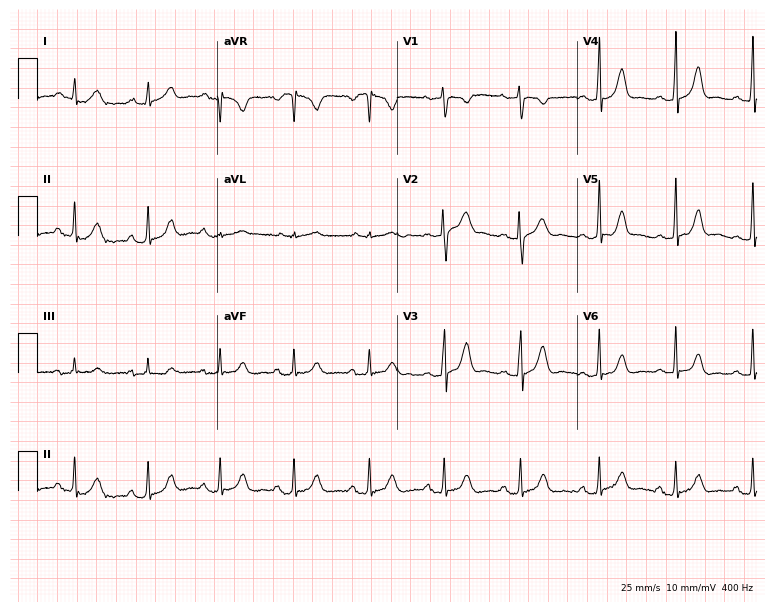
Electrocardiogram, a 21-year-old woman. Of the six screened findings (first-degree AV block, right bundle branch block (RBBB), left bundle branch block (LBBB), sinus bradycardia, atrial fibrillation (AF), sinus tachycardia), none is recorded. Other findings, if any, are not listed.